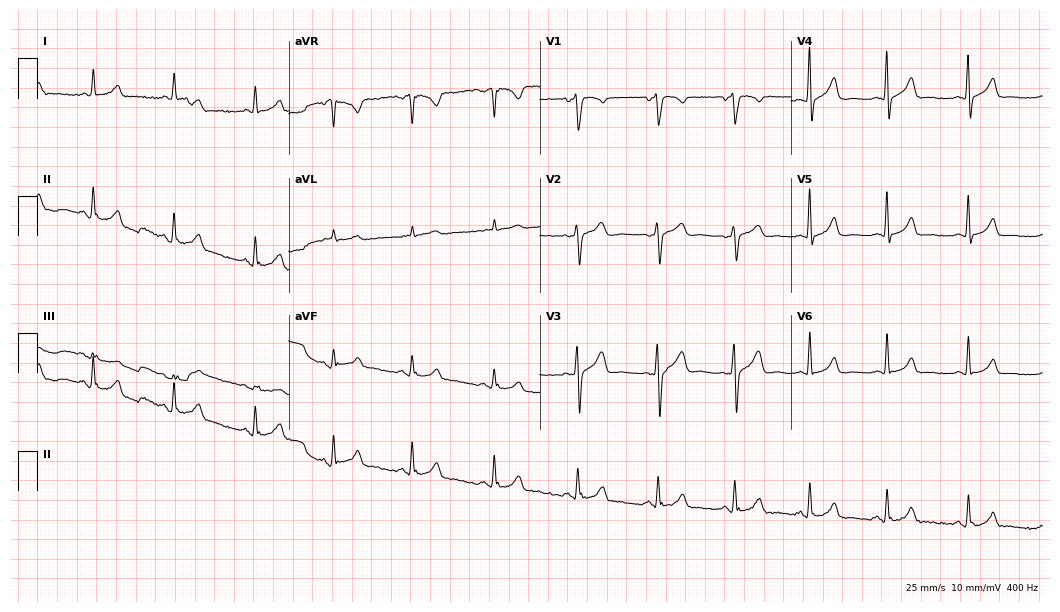
12-lead ECG from a female patient, 31 years old. Labelled as a normal ECG.